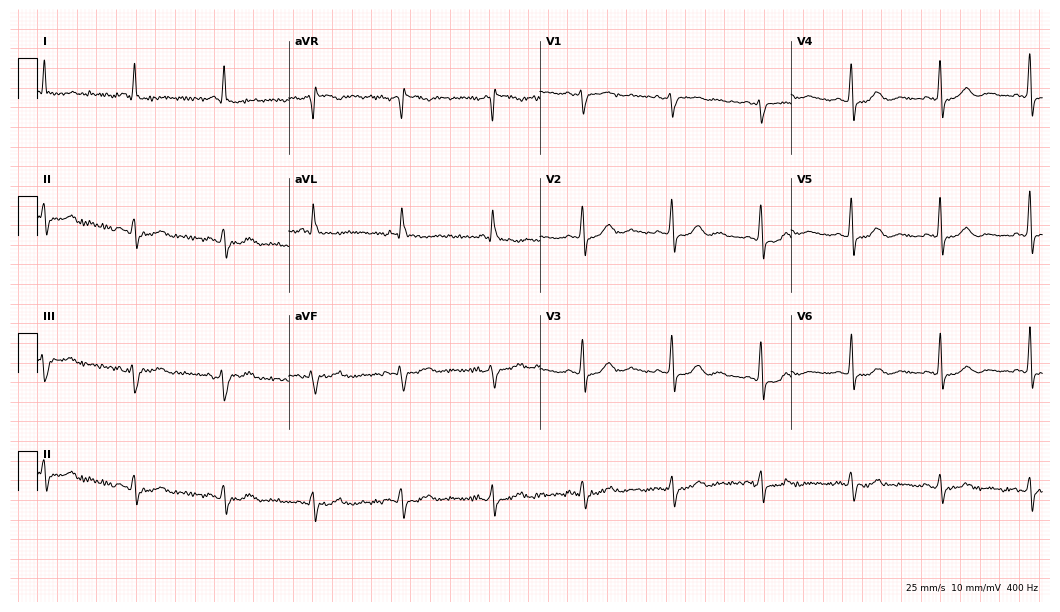
ECG (10.2-second recording at 400 Hz) — a 73-year-old man. Screened for six findings — first-degree AV block, right bundle branch block (RBBB), left bundle branch block (LBBB), sinus bradycardia, atrial fibrillation (AF), sinus tachycardia — none is recorded. Findings outside these six are not listed.